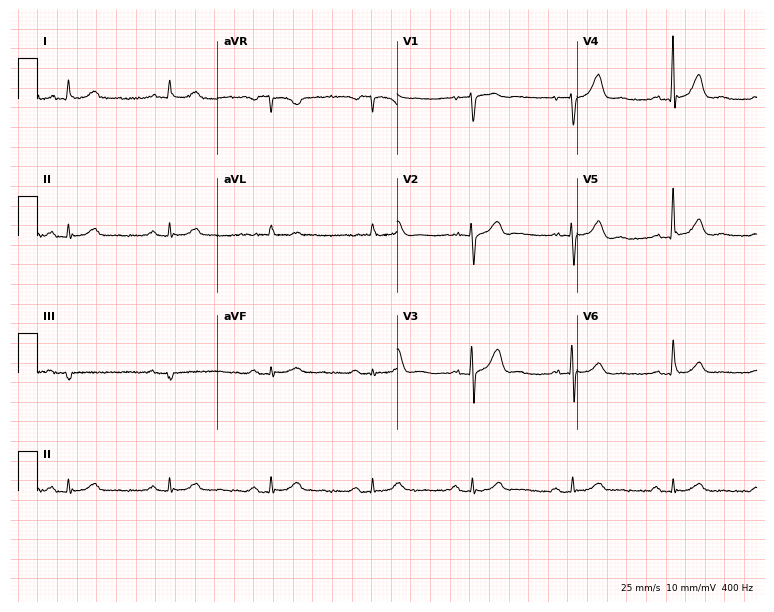
12-lead ECG (7.3-second recording at 400 Hz) from a man, 79 years old. Labelled as a normal ECG.